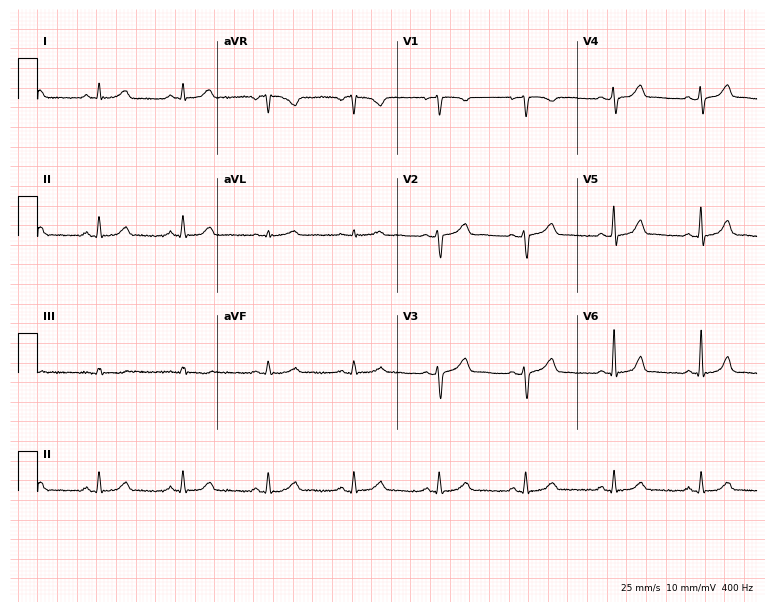
Resting 12-lead electrocardiogram. Patient: a woman, 42 years old. Read as a normal ECG.